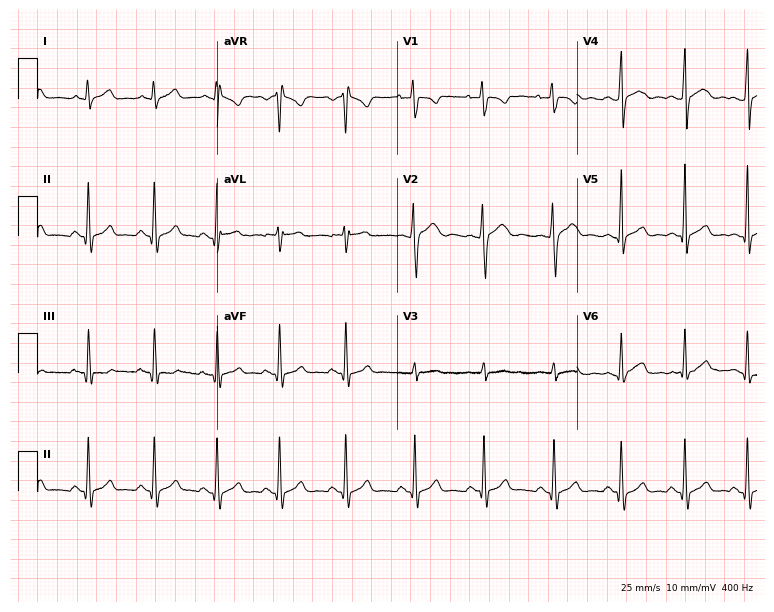
Electrocardiogram, a male, 20 years old. Of the six screened findings (first-degree AV block, right bundle branch block, left bundle branch block, sinus bradycardia, atrial fibrillation, sinus tachycardia), none is recorded.